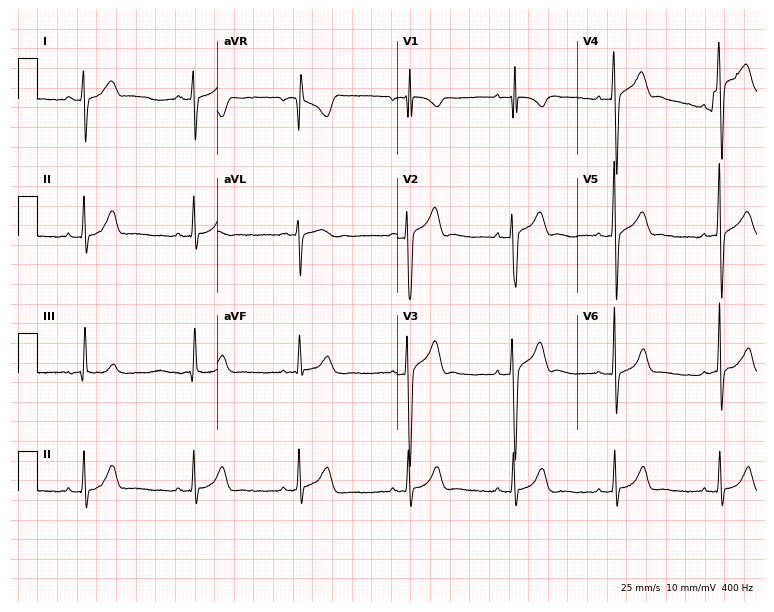
ECG (7.3-second recording at 400 Hz) — an 18-year-old male. Screened for six findings — first-degree AV block, right bundle branch block (RBBB), left bundle branch block (LBBB), sinus bradycardia, atrial fibrillation (AF), sinus tachycardia — none is recorded. Only these six findings were labelled.